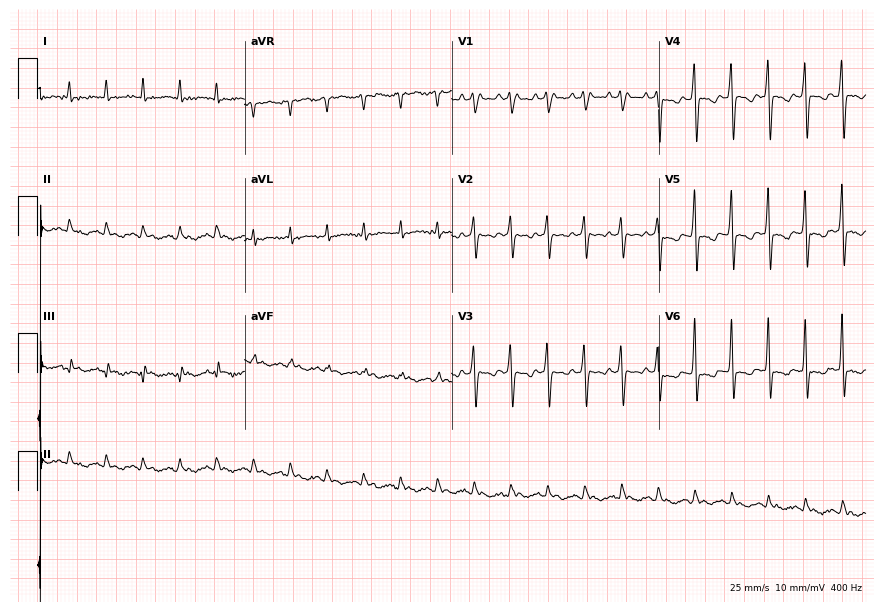
12-lead ECG from a 58-year-old male patient (8.4-second recording at 400 Hz). Shows sinus tachycardia (a sinus rate of 100 beats per minute or more).